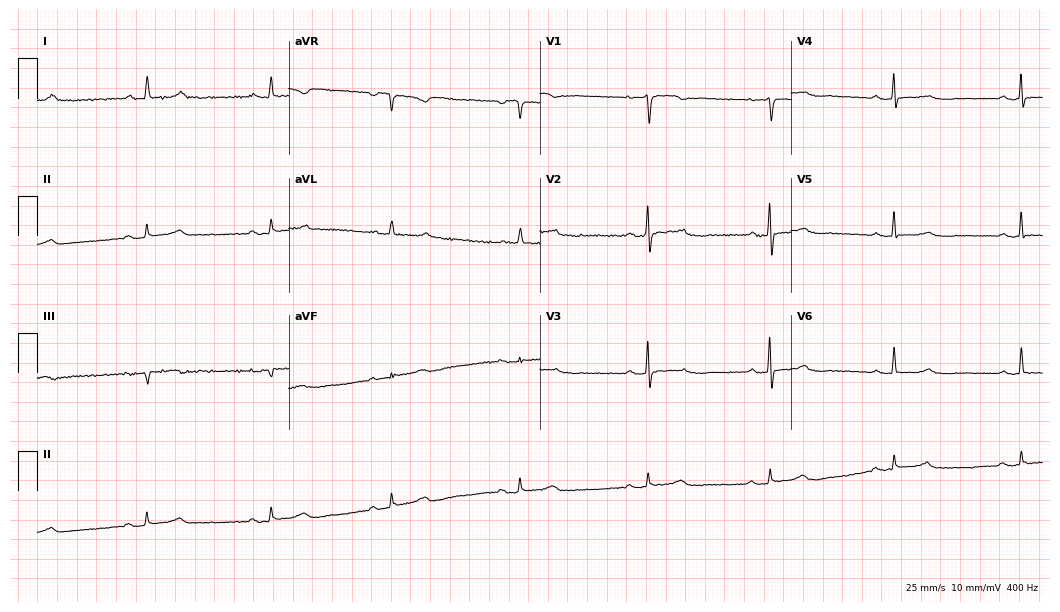
Standard 12-lead ECG recorded from a 77-year-old woman (10.2-second recording at 400 Hz). The tracing shows sinus bradycardia (a sinus rate of 50 beats per minute or less).